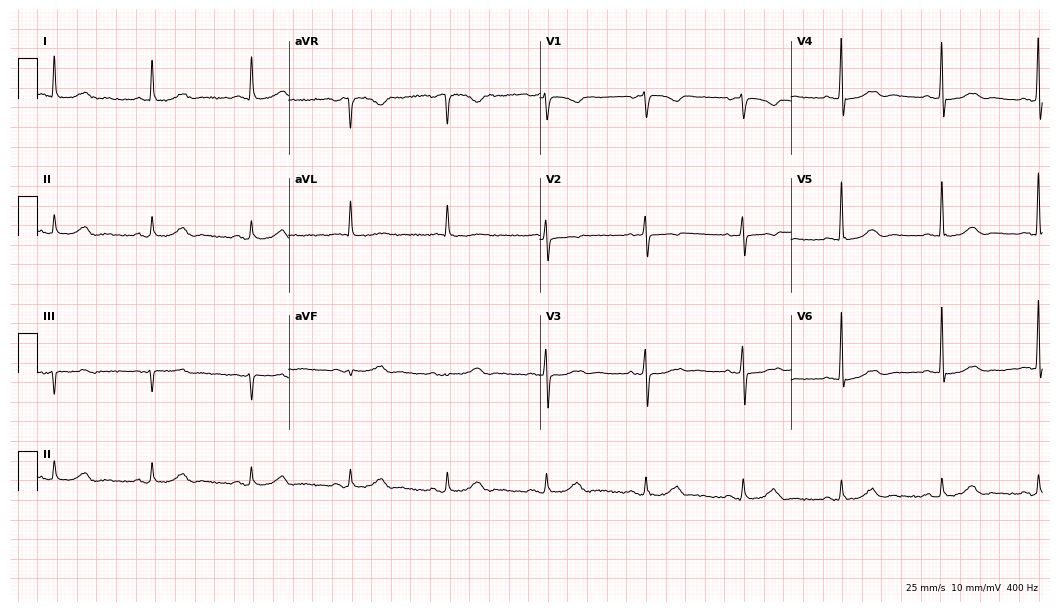
ECG — a 75-year-old woman. Screened for six findings — first-degree AV block, right bundle branch block (RBBB), left bundle branch block (LBBB), sinus bradycardia, atrial fibrillation (AF), sinus tachycardia — none is recorded. Only these six findings were labelled.